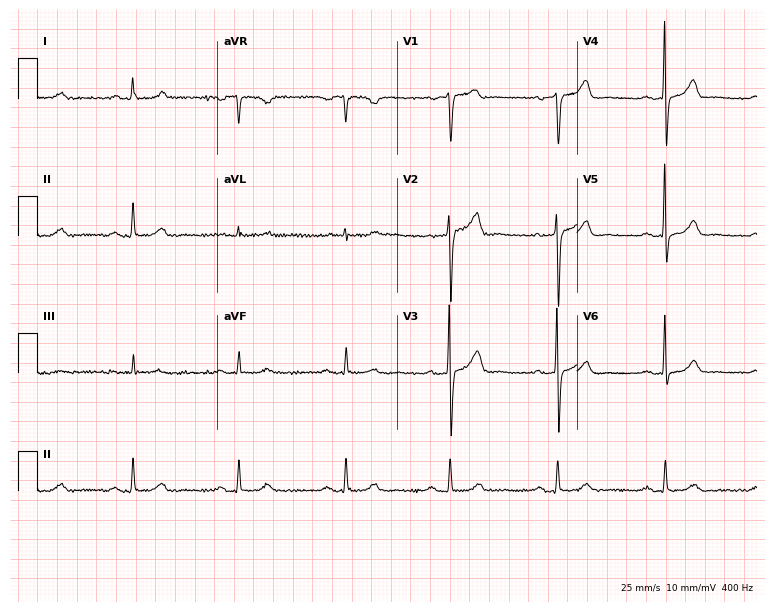
Resting 12-lead electrocardiogram. Patient: a 48-year-old male. None of these six findings is recorded: first-degree AV block, right bundle branch block, left bundle branch block, sinus bradycardia, atrial fibrillation, sinus tachycardia.